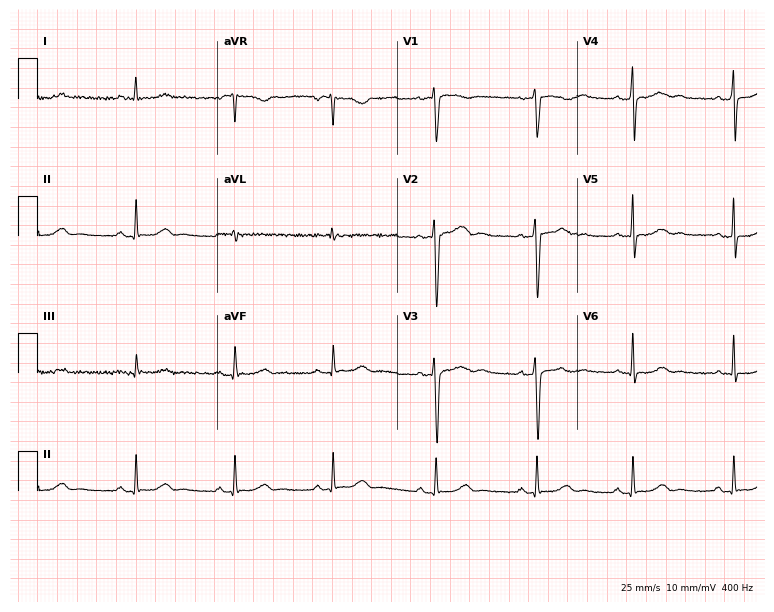
Resting 12-lead electrocardiogram (7.3-second recording at 400 Hz). Patient: a female, 41 years old. Read as a normal ECG.